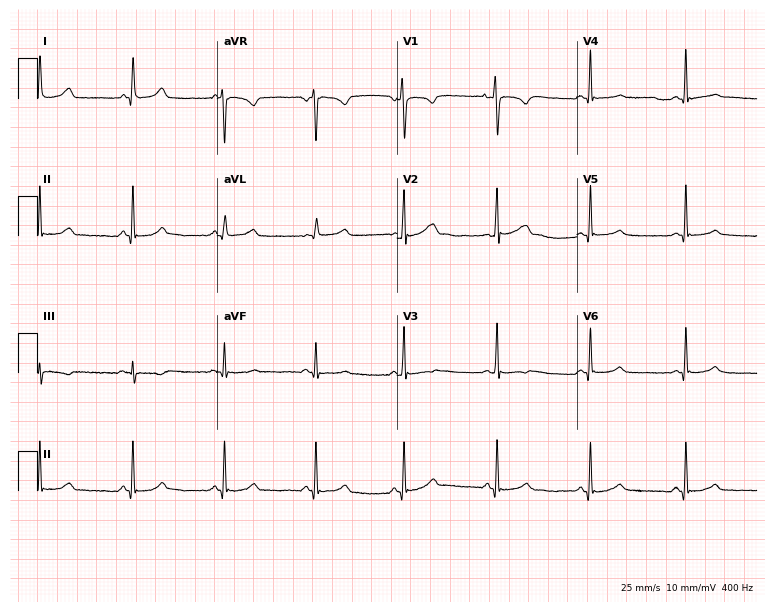
12-lead ECG from a woman, 29 years old. Labelled as a normal ECG.